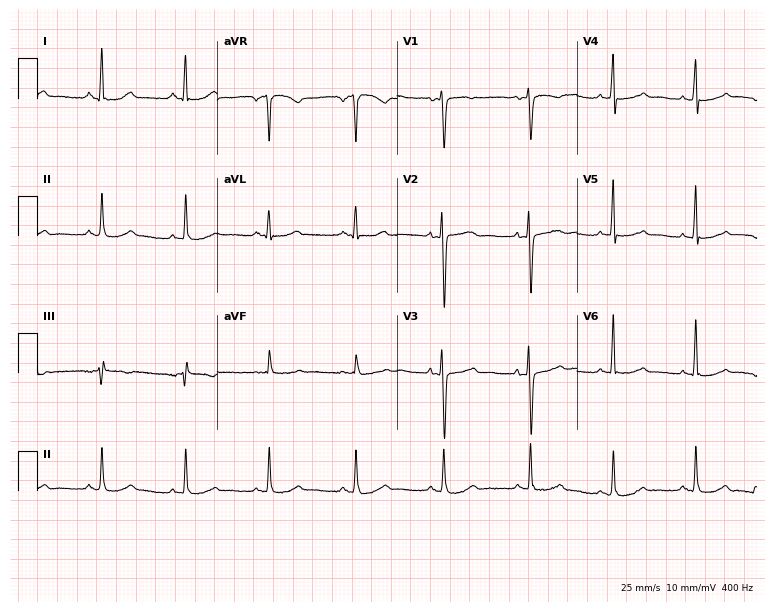
ECG (7.3-second recording at 400 Hz) — a 47-year-old woman. Labelled as a normal ECG.